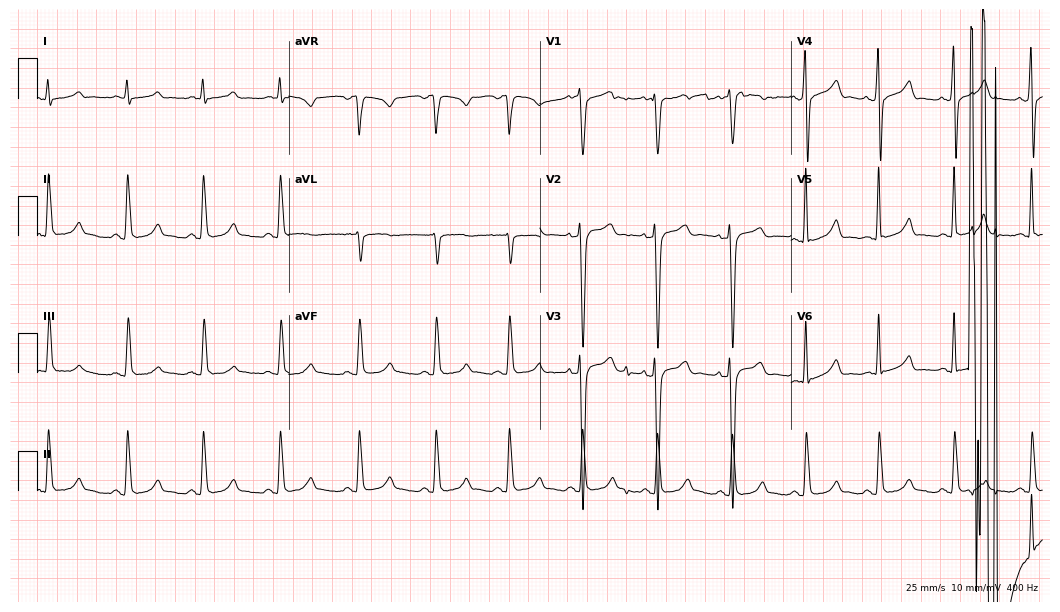
Resting 12-lead electrocardiogram. Patient: a 30-year-old male. None of these six findings is recorded: first-degree AV block, right bundle branch block, left bundle branch block, sinus bradycardia, atrial fibrillation, sinus tachycardia. Findings outside these six are not listed.